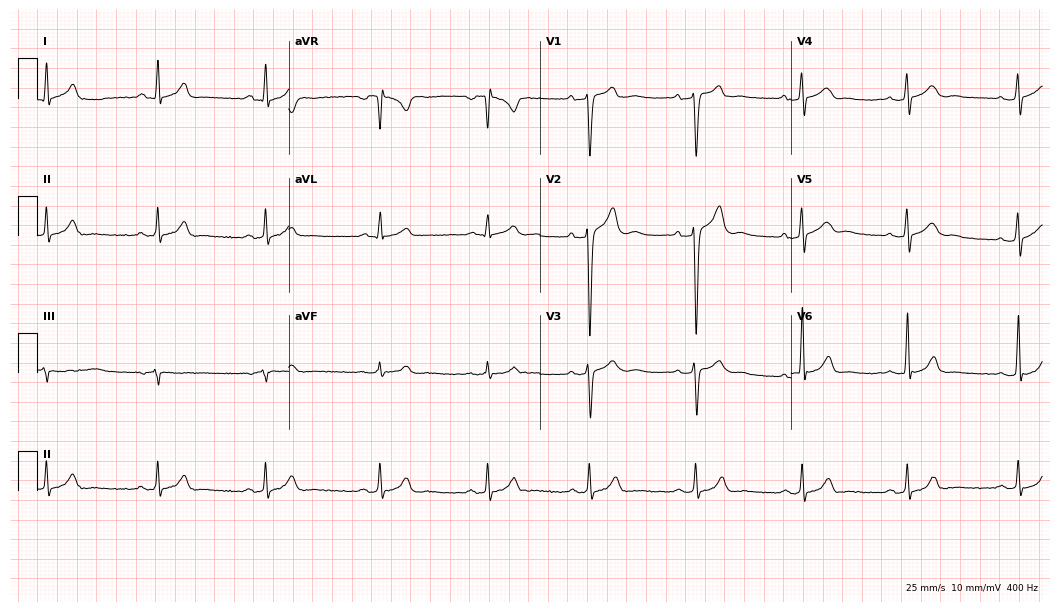
12-lead ECG from a 25-year-old male patient. Recorded interpretation: within normal limits.